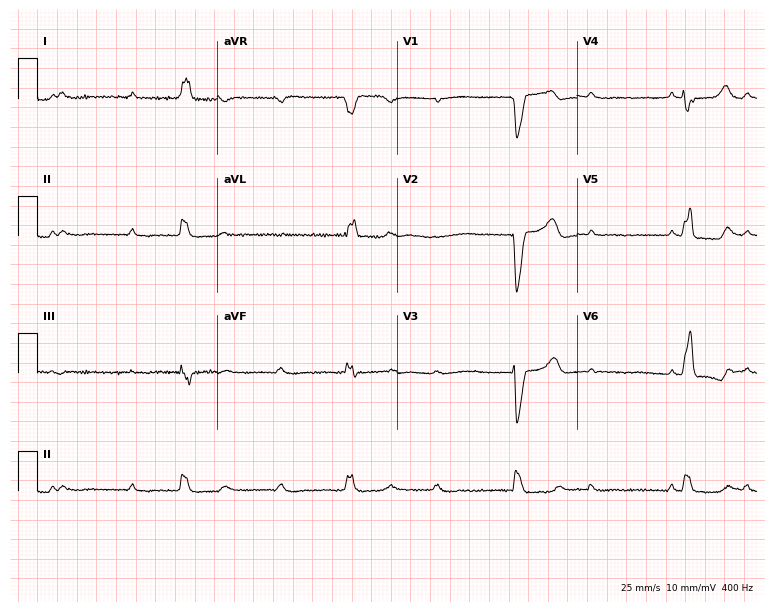
12-lead ECG (7.3-second recording at 400 Hz) from a 63-year-old female patient. Findings include left bundle branch block.